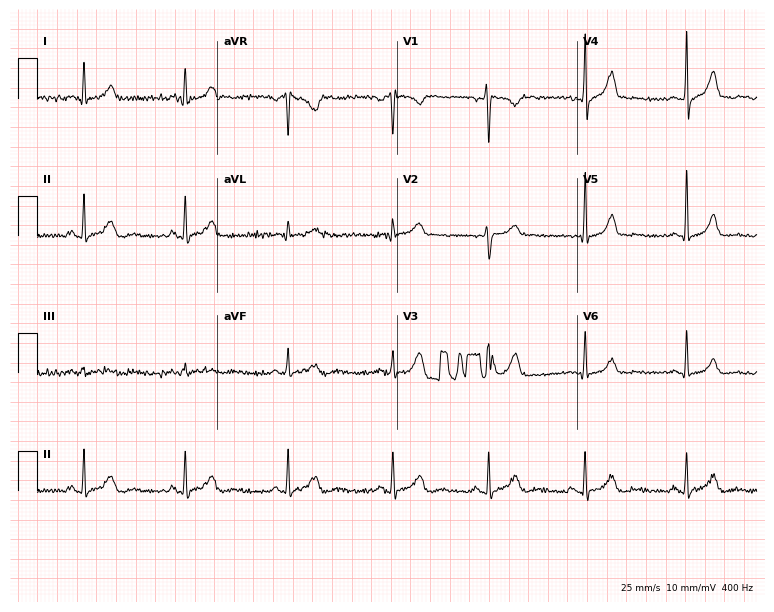
Standard 12-lead ECG recorded from a 41-year-old woman. Read as a normal ECG.